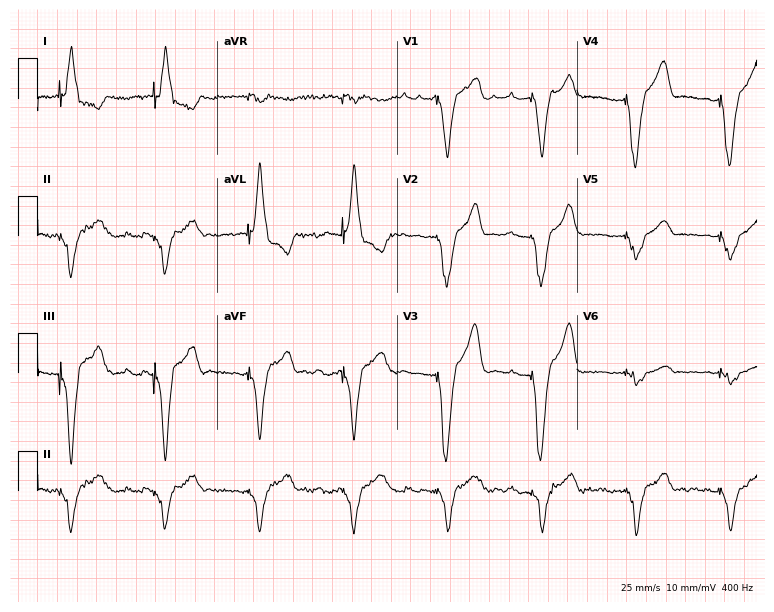
Standard 12-lead ECG recorded from a woman, 65 years old. None of these six findings is recorded: first-degree AV block, right bundle branch block, left bundle branch block, sinus bradycardia, atrial fibrillation, sinus tachycardia.